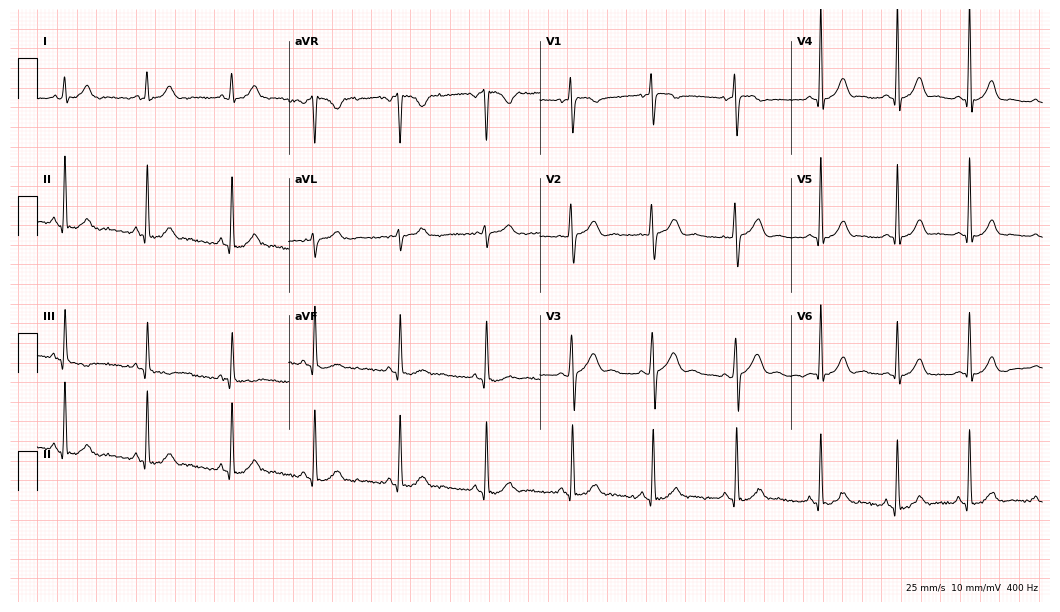
12-lead ECG from an 18-year-old woman (10.2-second recording at 400 Hz). Recorded interpretation: within normal limits.